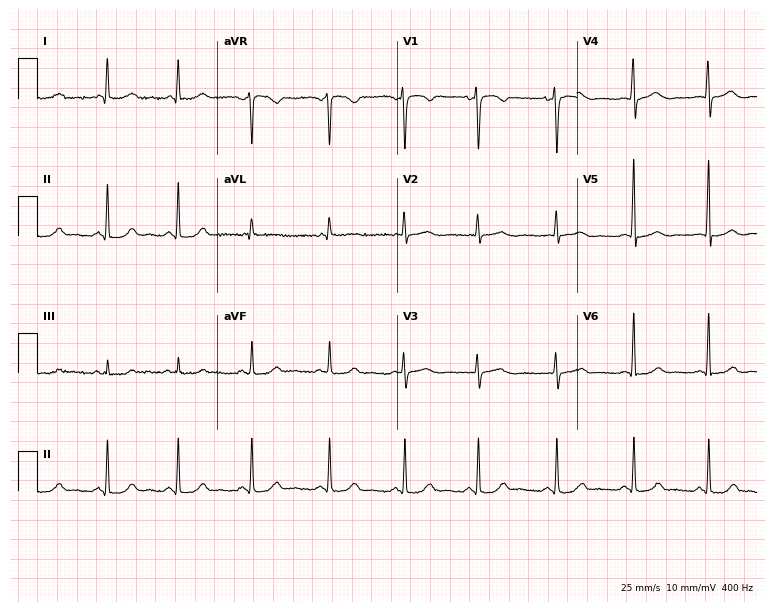
Electrocardiogram, a 45-year-old woman. Overall reading on record: normal ECG.